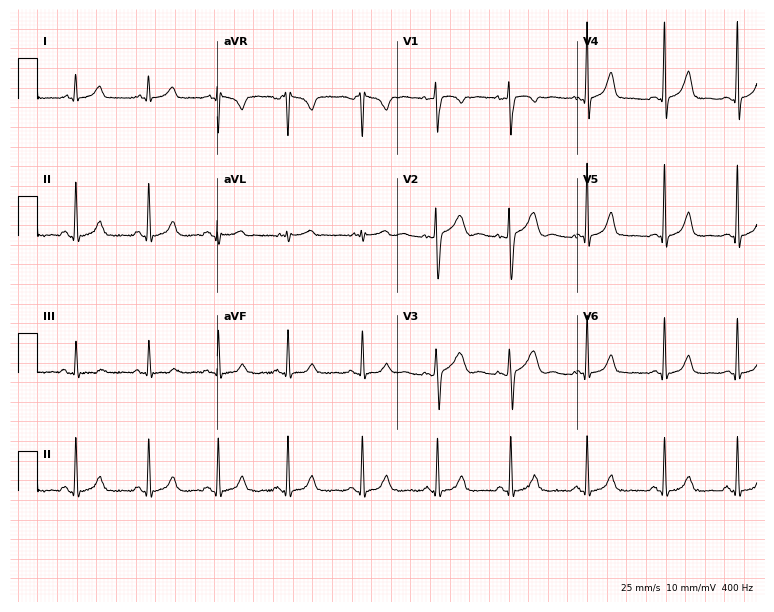
12-lead ECG from a female, 30 years old. Recorded interpretation: within normal limits.